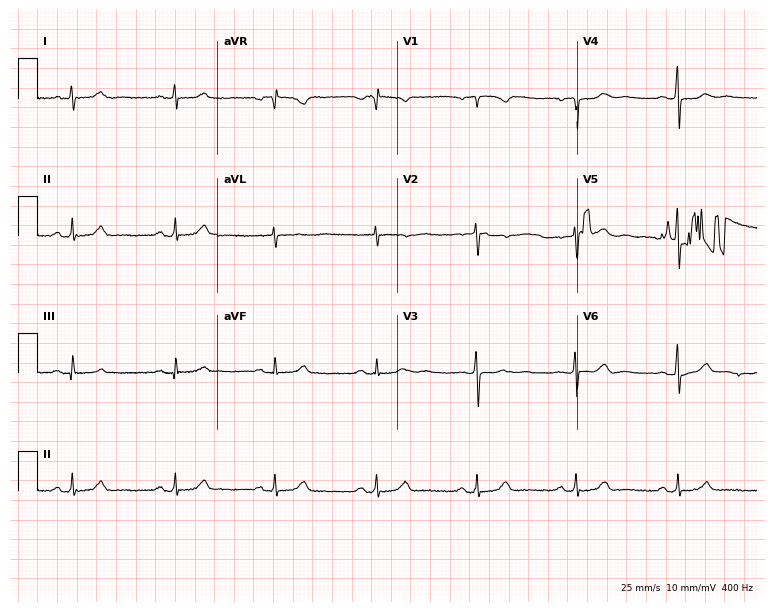
Electrocardiogram (7.3-second recording at 400 Hz), a woman, 50 years old. Overall reading on record: normal ECG.